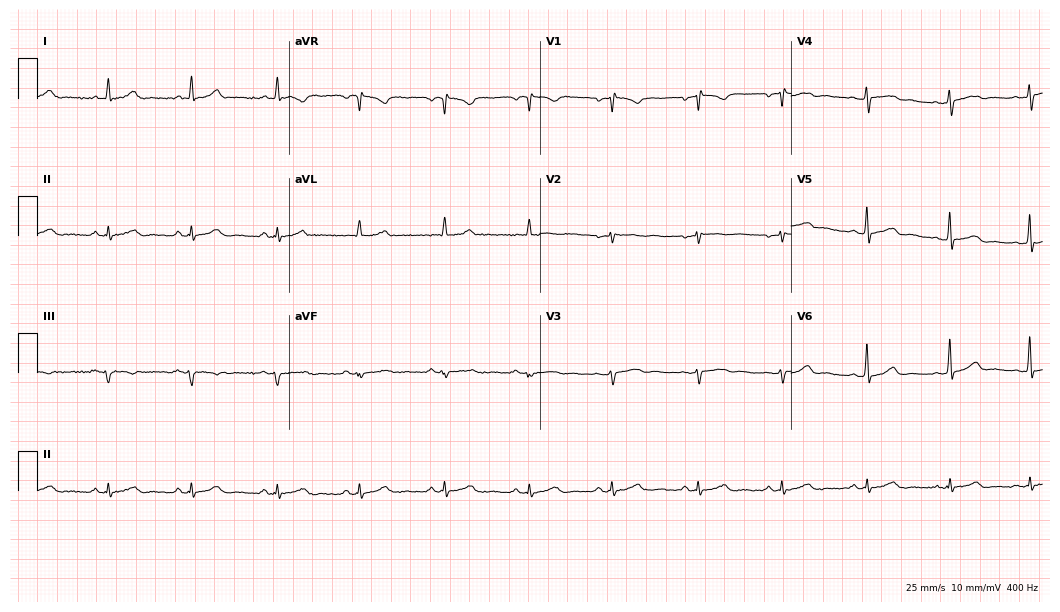
Standard 12-lead ECG recorded from a 39-year-old female patient (10.2-second recording at 400 Hz). None of these six findings is recorded: first-degree AV block, right bundle branch block, left bundle branch block, sinus bradycardia, atrial fibrillation, sinus tachycardia.